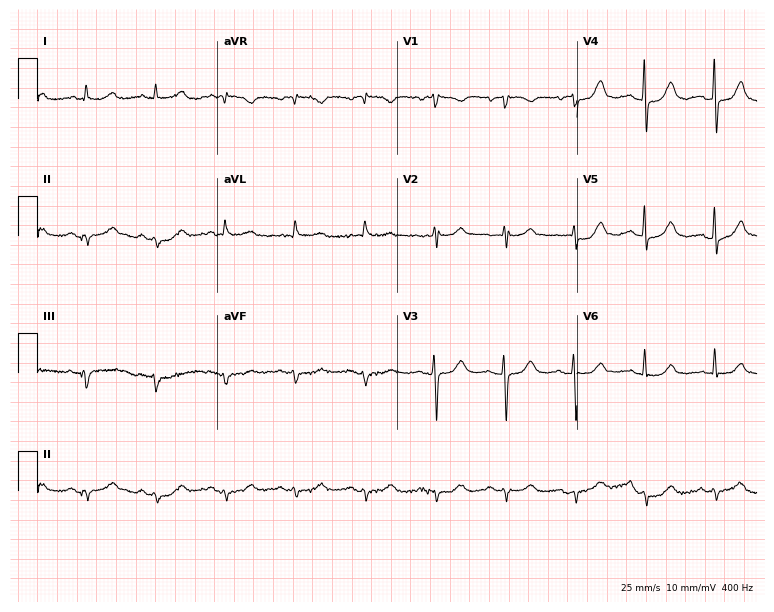
Electrocardiogram (7.3-second recording at 400 Hz), a female patient, 76 years old. Of the six screened findings (first-degree AV block, right bundle branch block, left bundle branch block, sinus bradycardia, atrial fibrillation, sinus tachycardia), none is recorded. Findings outside these six are not listed.